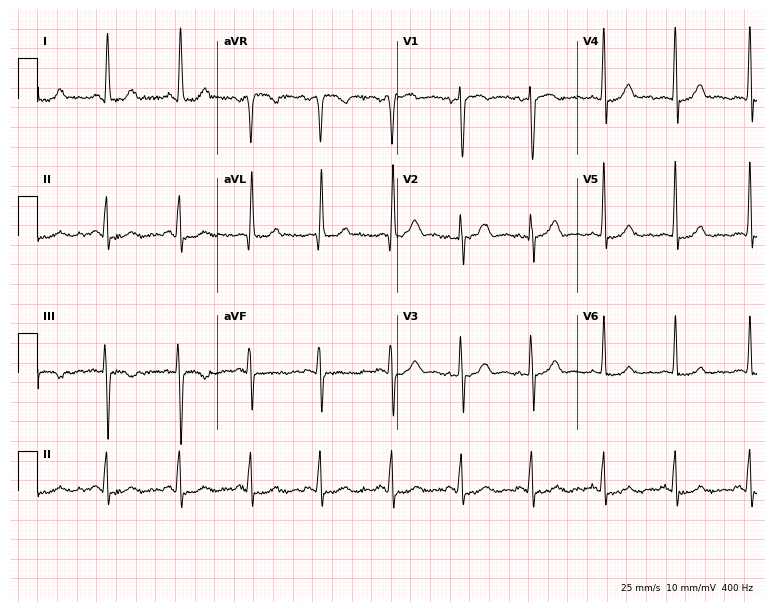
12-lead ECG (7.3-second recording at 400 Hz) from a 44-year-old woman. Screened for six findings — first-degree AV block, right bundle branch block (RBBB), left bundle branch block (LBBB), sinus bradycardia, atrial fibrillation (AF), sinus tachycardia — none is recorded.